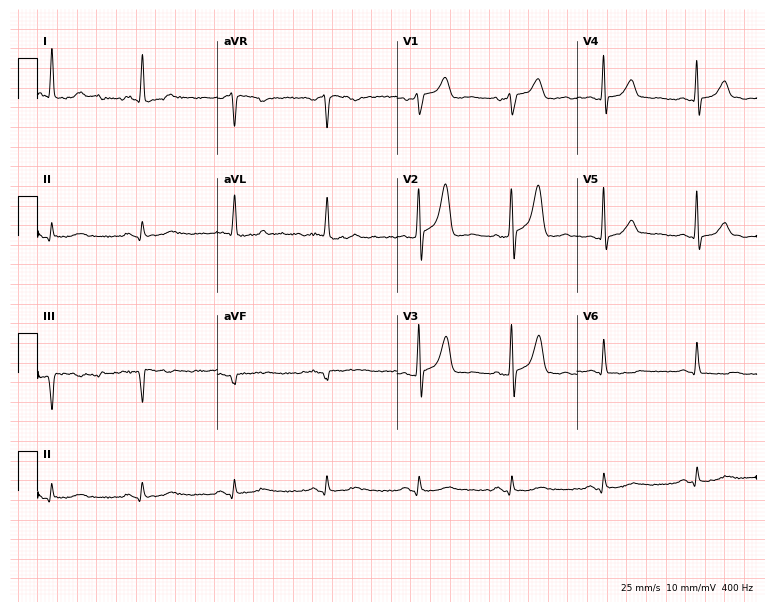
Resting 12-lead electrocardiogram. Patient: a male, 64 years old. None of these six findings is recorded: first-degree AV block, right bundle branch block (RBBB), left bundle branch block (LBBB), sinus bradycardia, atrial fibrillation (AF), sinus tachycardia. Only these six findings were labelled.